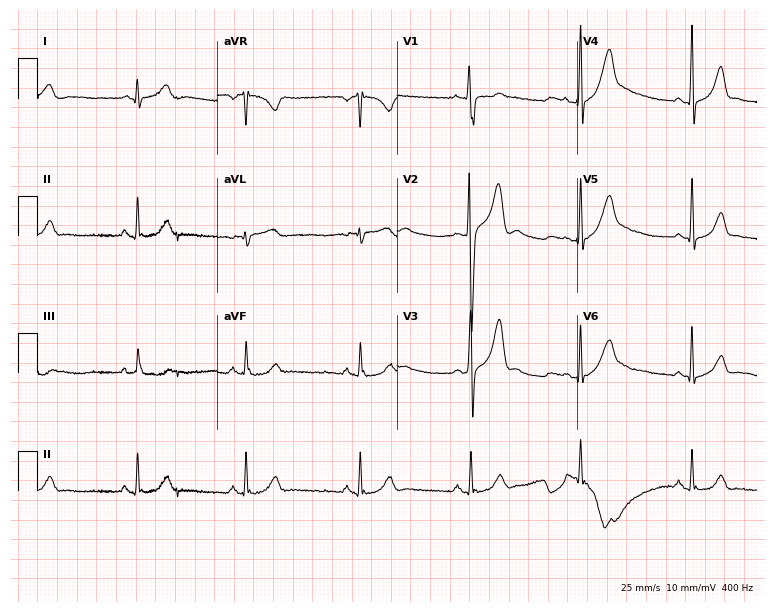
12-lead ECG from a 20-year-old male patient (7.3-second recording at 400 Hz). No first-degree AV block, right bundle branch block (RBBB), left bundle branch block (LBBB), sinus bradycardia, atrial fibrillation (AF) or sinus tachycardia recorded for this tracing.